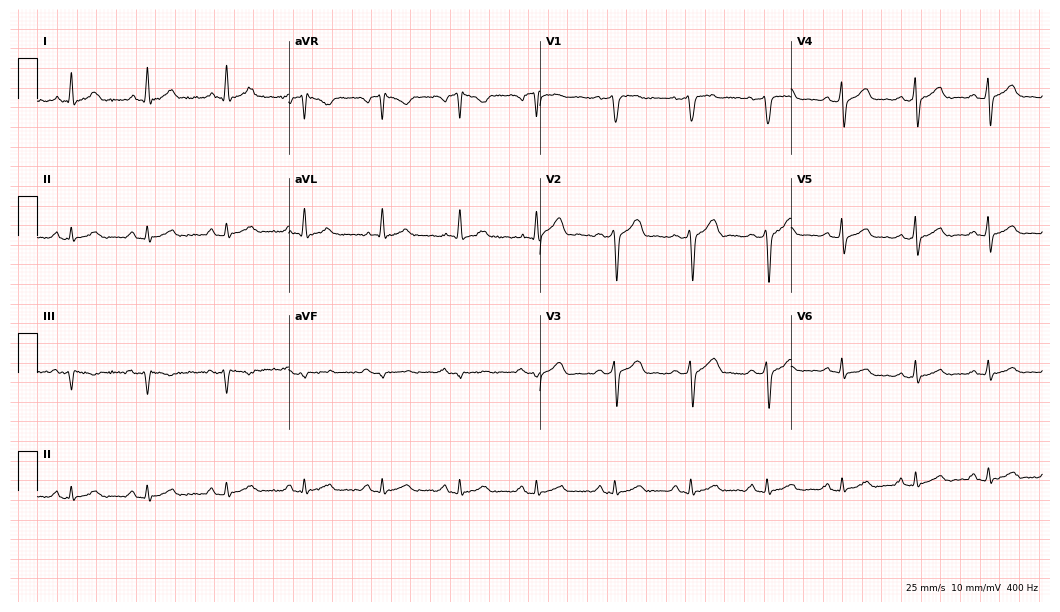
12-lead ECG from a 39-year-old male. Labelled as a normal ECG.